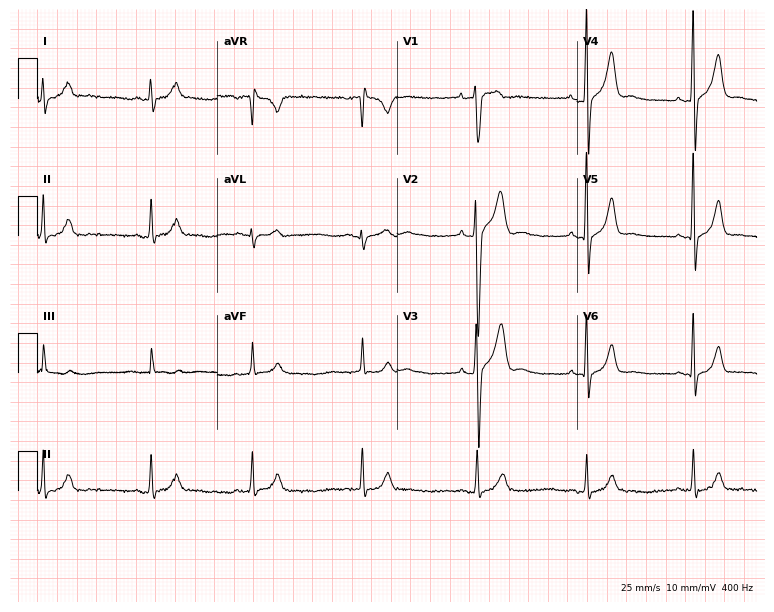
Resting 12-lead electrocardiogram (7.3-second recording at 400 Hz). Patient: a 25-year-old male. None of these six findings is recorded: first-degree AV block, right bundle branch block, left bundle branch block, sinus bradycardia, atrial fibrillation, sinus tachycardia.